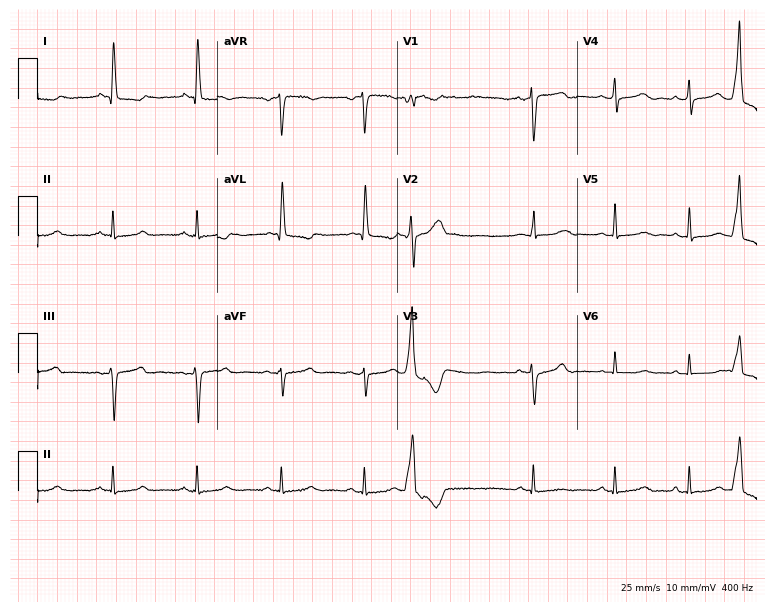
12-lead ECG (7.3-second recording at 400 Hz) from a 61-year-old woman. Screened for six findings — first-degree AV block, right bundle branch block, left bundle branch block, sinus bradycardia, atrial fibrillation, sinus tachycardia — none is recorded. Only these six findings were labelled.